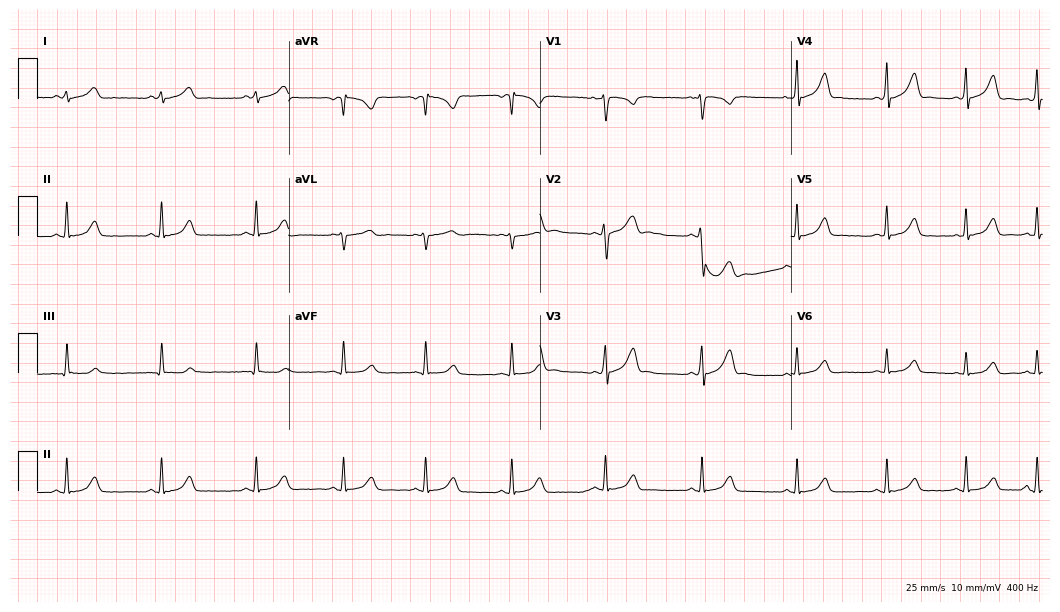
Standard 12-lead ECG recorded from a female, 20 years old (10.2-second recording at 400 Hz). None of these six findings is recorded: first-degree AV block, right bundle branch block (RBBB), left bundle branch block (LBBB), sinus bradycardia, atrial fibrillation (AF), sinus tachycardia.